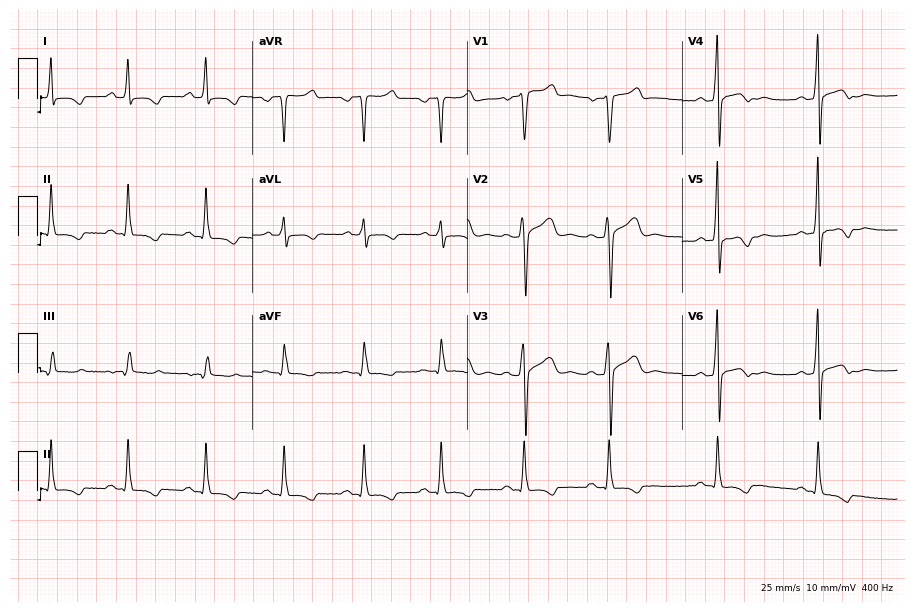
ECG — a 35-year-old male. Screened for six findings — first-degree AV block, right bundle branch block, left bundle branch block, sinus bradycardia, atrial fibrillation, sinus tachycardia — none is recorded.